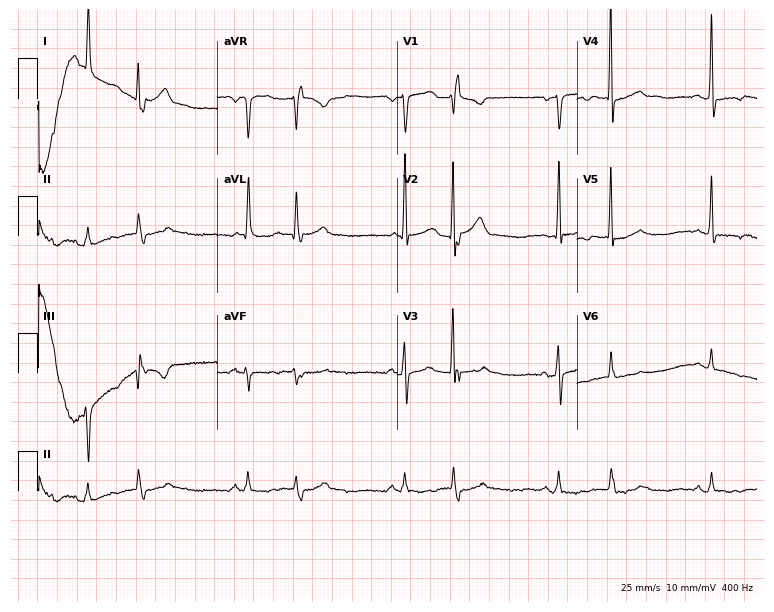
ECG — a female patient, 74 years old. Screened for six findings — first-degree AV block, right bundle branch block, left bundle branch block, sinus bradycardia, atrial fibrillation, sinus tachycardia — none is recorded.